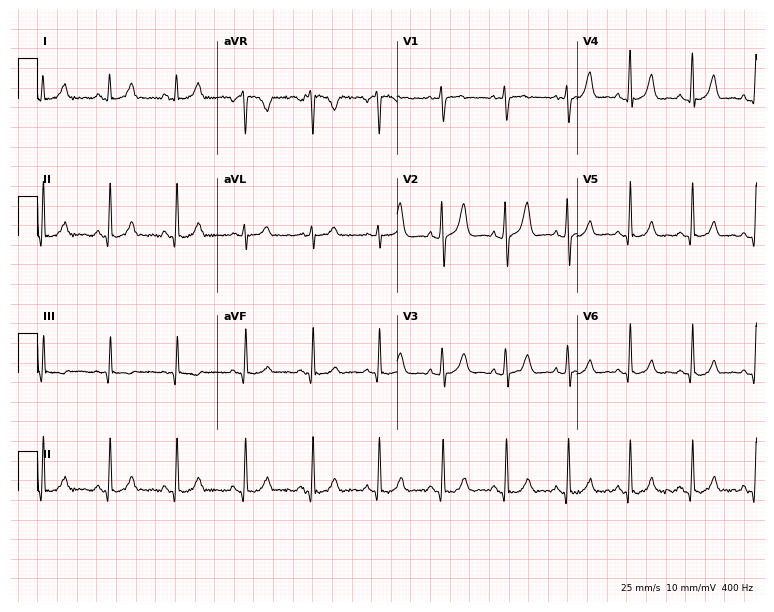
ECG (7.3-second recording at 400 Hz) — a 40-year-old woman. Labelled as a normal ECG.